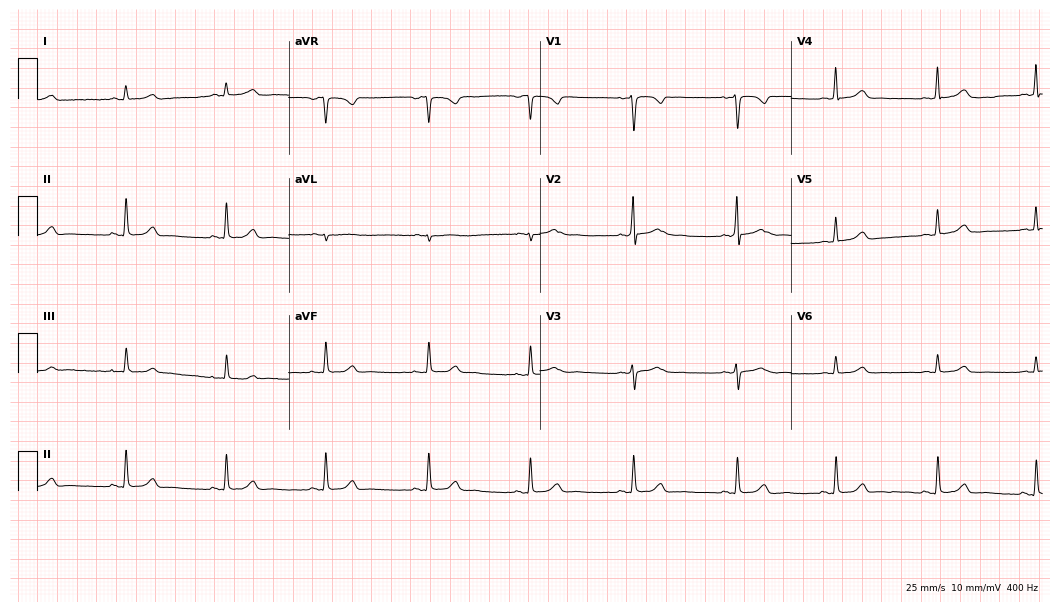
ECG — a 27-year-old female. Labelled as a normal ECG.